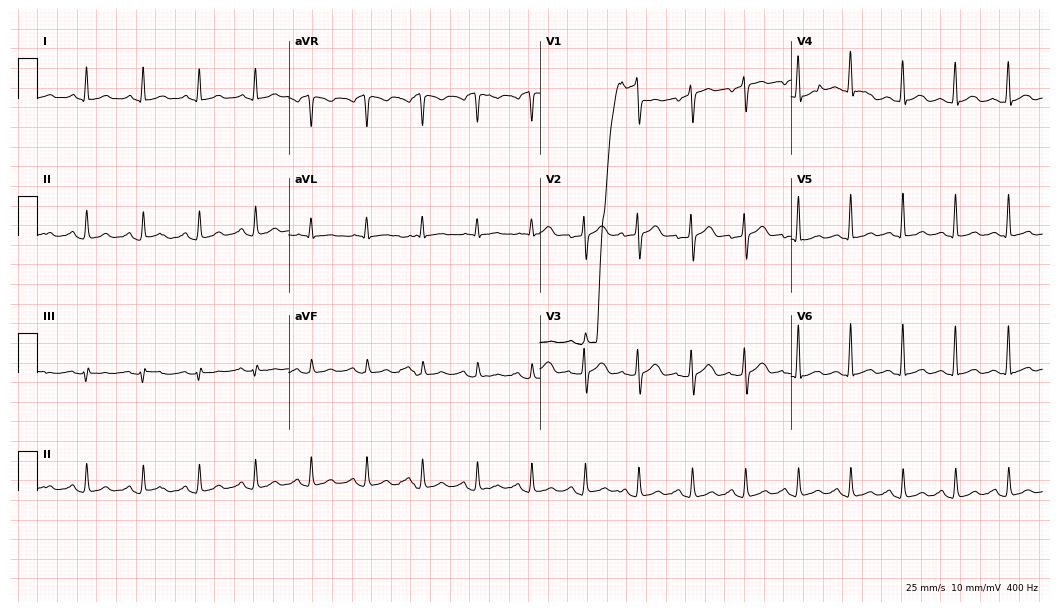
12-lead ECG (10.2-second recording at 400 Hz) from a man, 44 years old. Screened for six findings — first-degree AV block, right bundle branch block, left bundle branch block, sinus bradycardia, atrial fibrillation, sinus tachycardia — none is recorded.